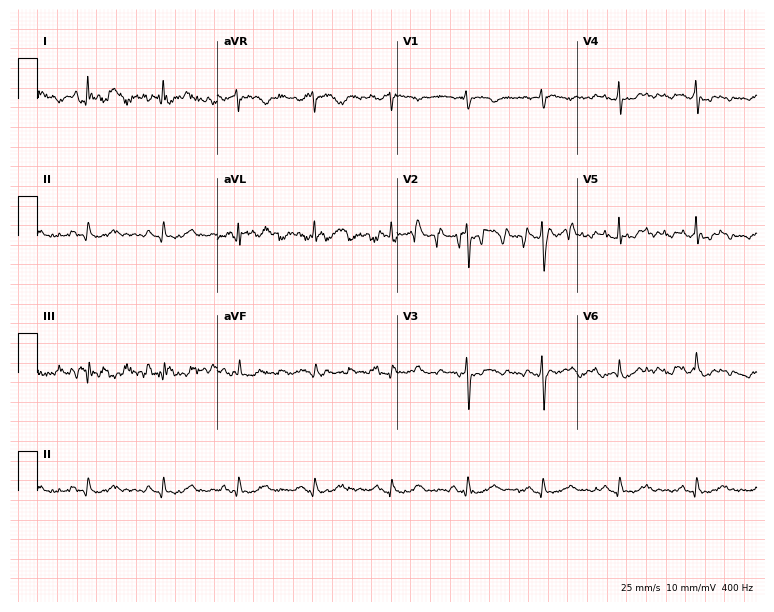
Standard 12-lead ECG recorded from a 73-year-old woman (7.3-second recording at 400 Hz). None of these six findings is recorded: first-degree AV block, right bundle branch block, left bundle branch block, sinus bradycardia, atrial fibrillation, sinus tachycardia.